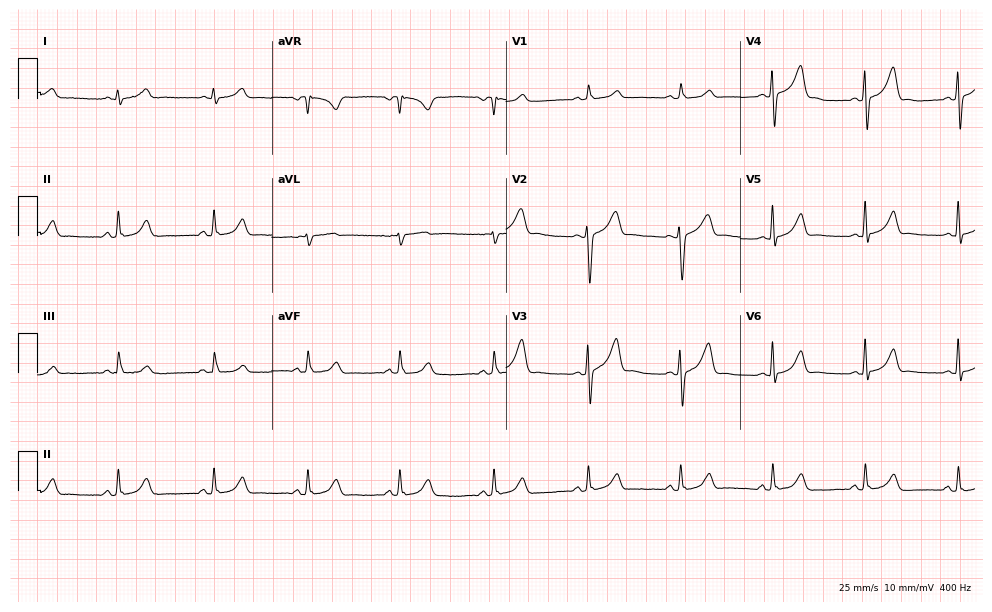
Electrocardiogram (9.6-second recording at 400 Hz), a male, 67 years old. Overall reading on record: normal ECG.